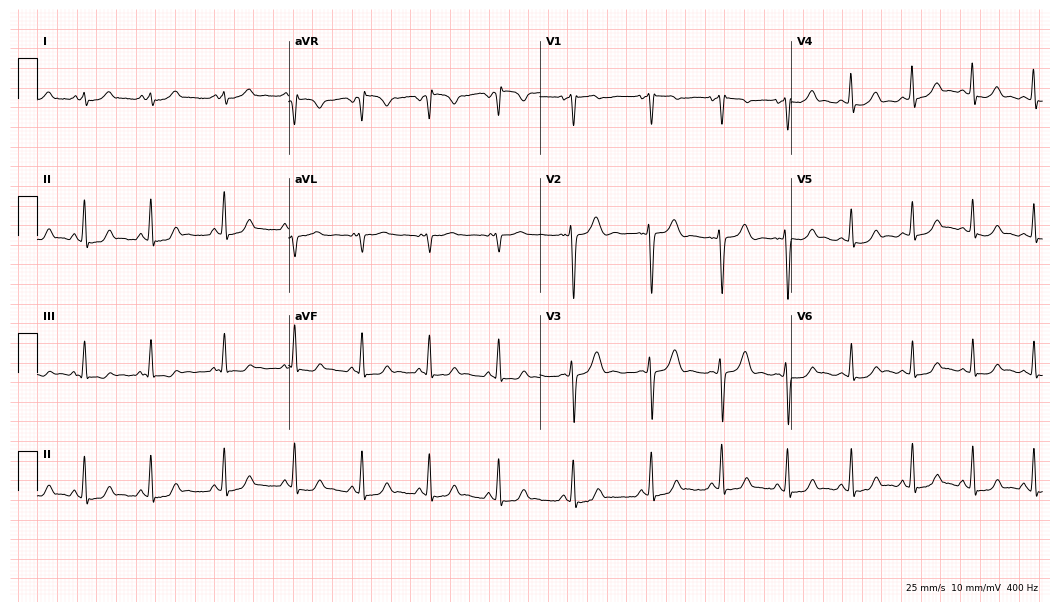
Standard 12-lead ECG recorded from a 17-year-old female patient. Read as a normal ECG.